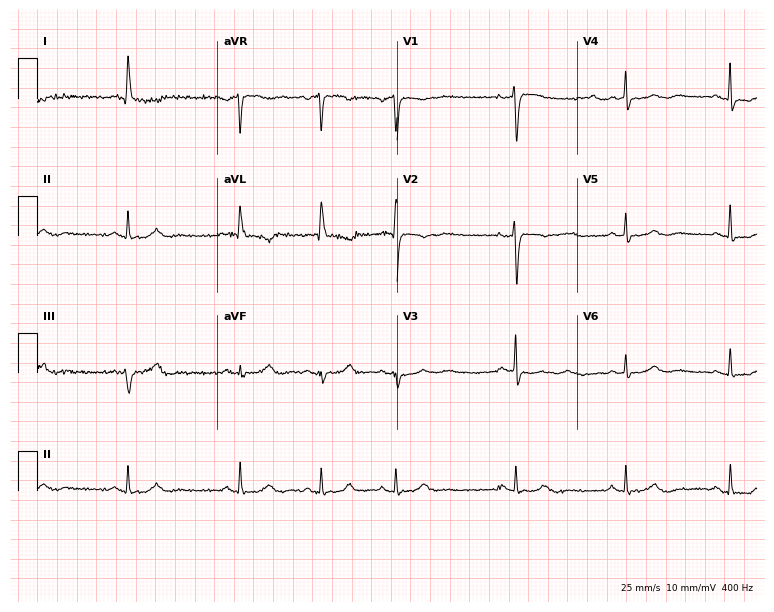
12-lead ECG from a woman, 83 years old. No first-degree AV block, right bundle branch block, left bundle branch block, sinus bradycardia, atrial fibrillation or sinus tachycardia recorded for this tracing. Only these six findings were labelled.